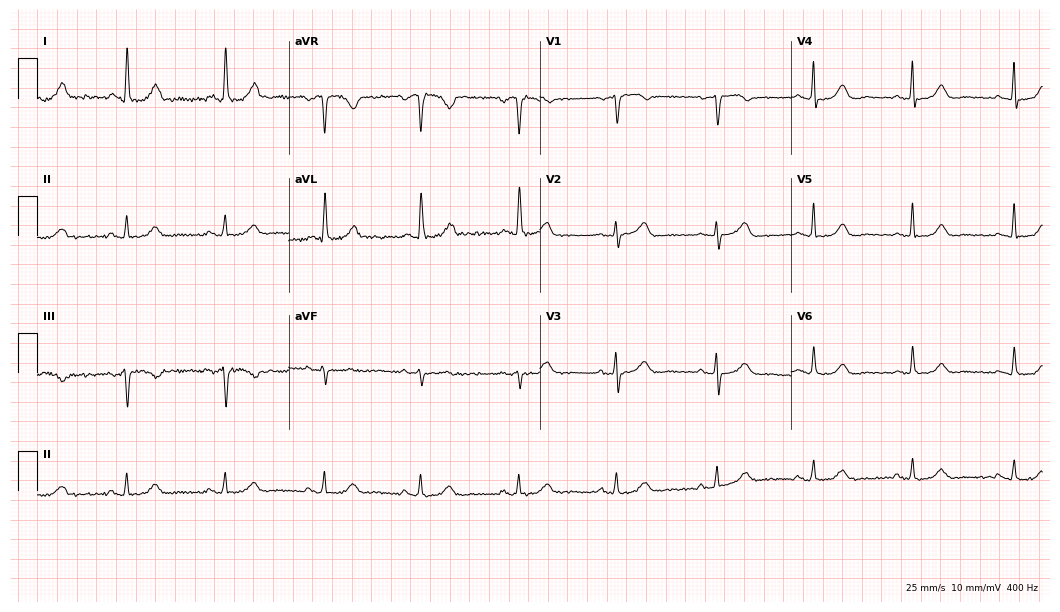
Standard 12-lead ECG recorded from a female patient, 62 years old. Read as a normal ECG.